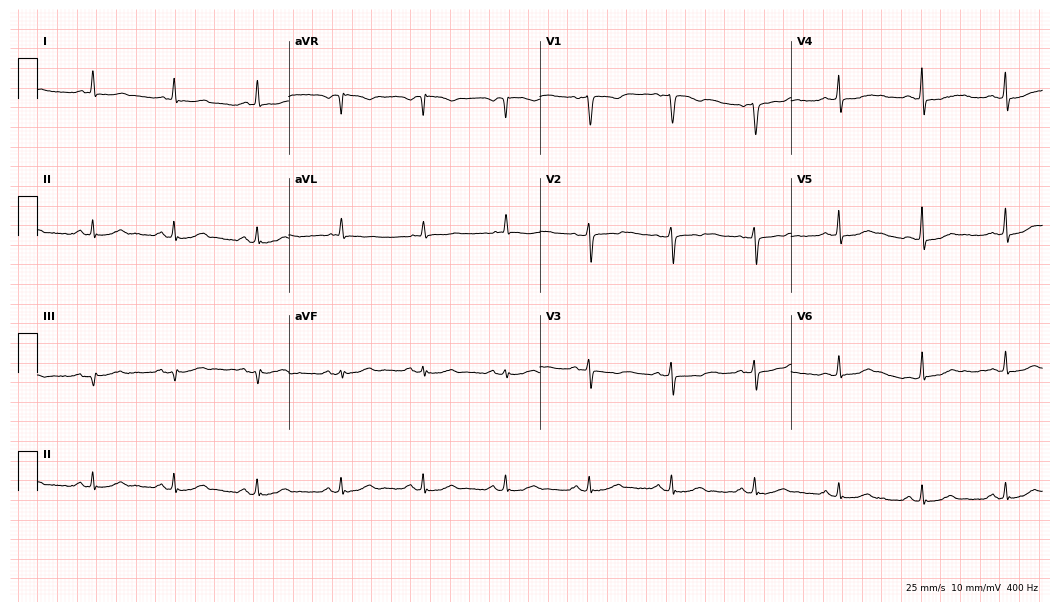
12-lead ECG from a female patient, 68 years old. No first-degree AV block, right bundle branch block, left bundle branch block, sinus bradycardia, atrial fibrillation or sinus tachycardia recorded for this tracing. Findings outside these six are not listed.